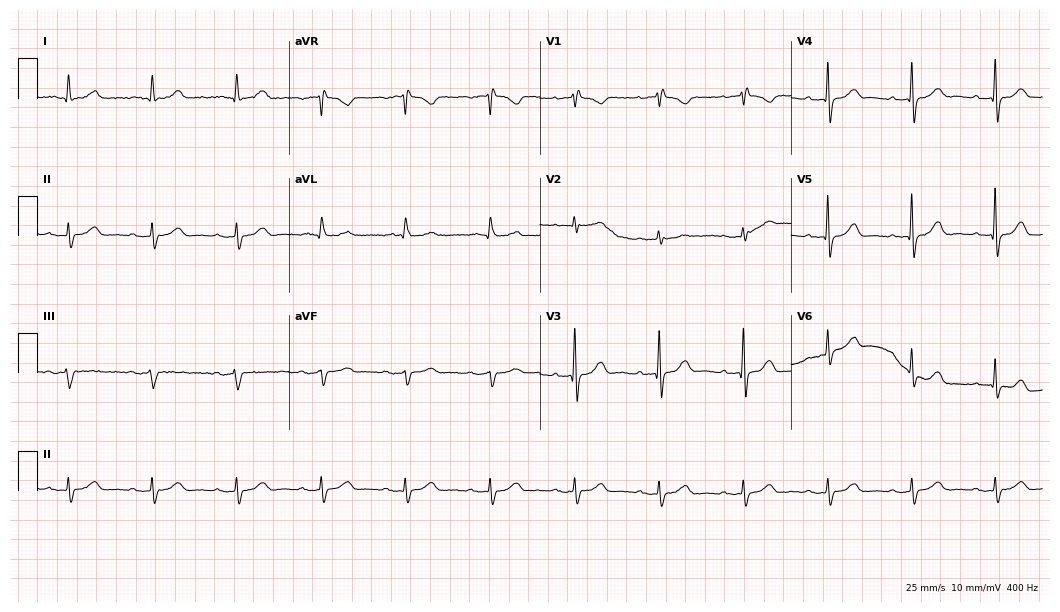
12-lead ECG from an 82-year-old female. No first-degree AV block, right bundle branch block, left bundle branch block, sinus bradycardia, atrial fibrillation or sinus tachycardia recorded for this tracing. Other findings, if any, are not listed.